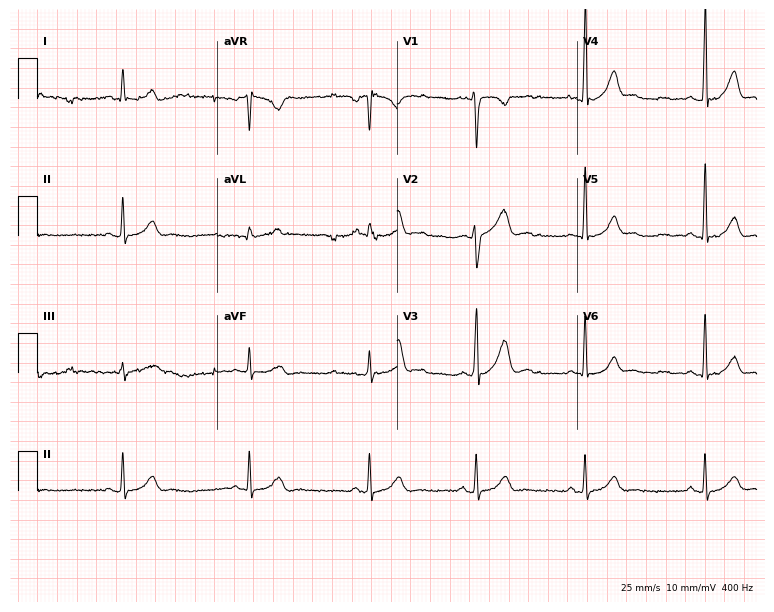
Resting 12-lead electrocardiogram. Patient: a man, 41 years old. None of these six findings is recorded: first-degree AV block, right bundle branch block, left bundle branch block, sinus bradycardia, atrial fibrillation, sinus tachycardia. Findings outside these six are not listed.